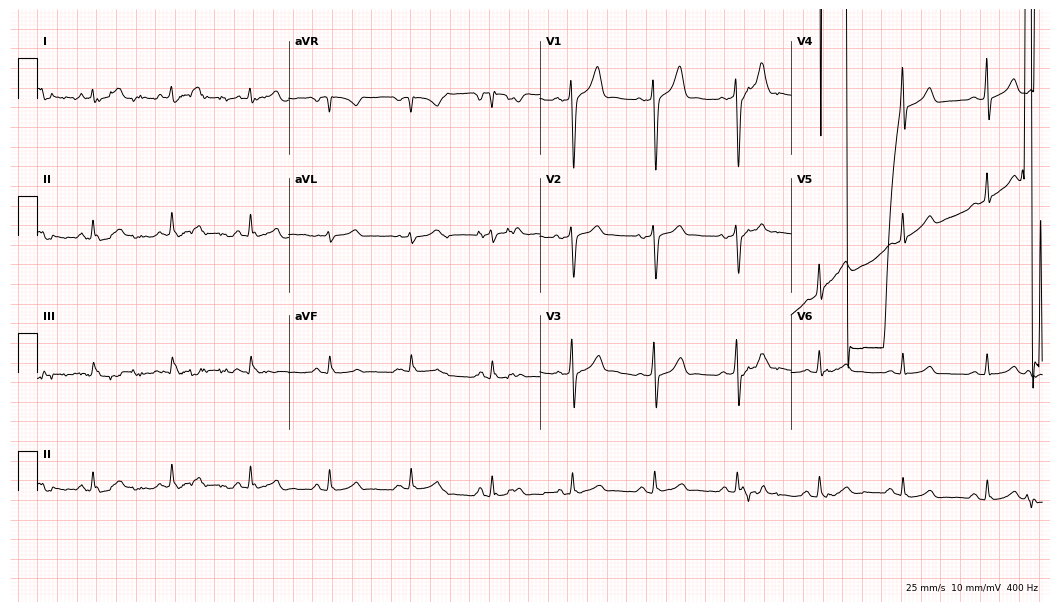
Electrocardiogram, a man, 32 years old. Of the six screened findings (first-degree AV block, right bundle branch block (RBBB), left bundle branch block (LBBB), sinus bradycardia, atrial fibrillation (AF), sinus tachycardia), none is recorded. Findings outside these six are not listed.